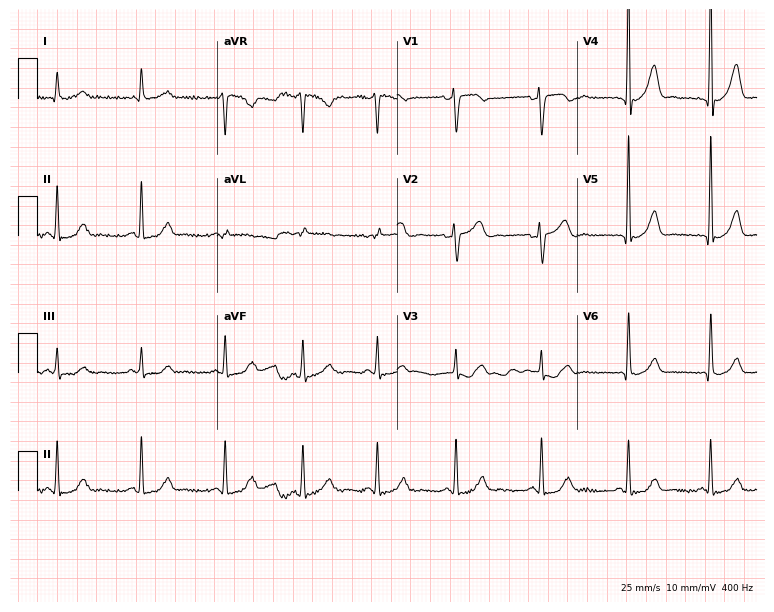
12-lead ECG from a man, 41 years old (7.3-second recording at 400 Hz). No first-degree AV block, right bundle branch block (RBBB), left bundle branch block (LBBB), sinus bradycardia, atrial fibrillation (AF) or sinus tachycardia recorded for this tracing.